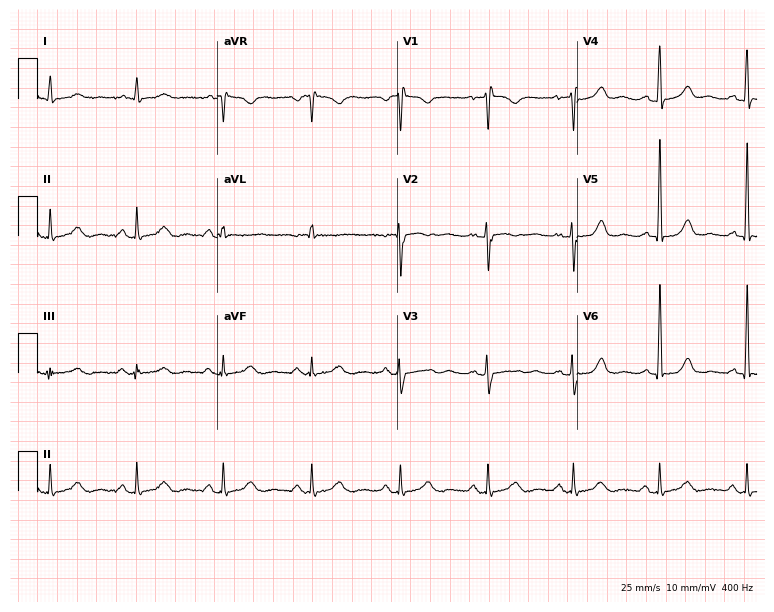
12-lead ECG from a woman, 53 years old. No first-degree AV block, right bundle branch block, left bundle branch block, sinus bradycardia, atrial fibrillation or sinus tachycardia recorded for this tracing. Other findings, if any, are not listed.